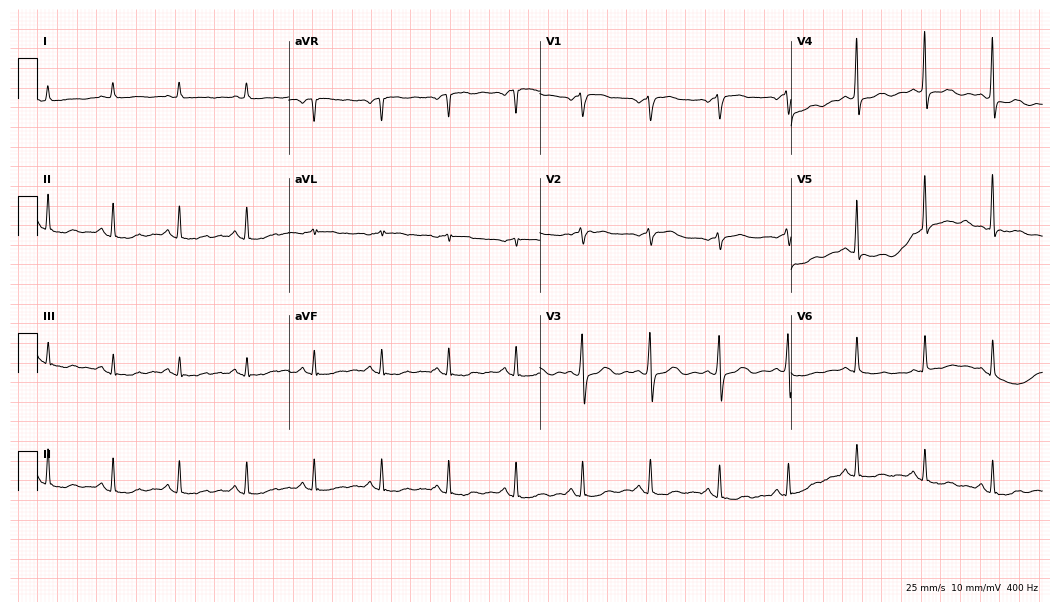
Electrocardiogram, a 69-year-old woman. Overall reading on record: normal ECG.